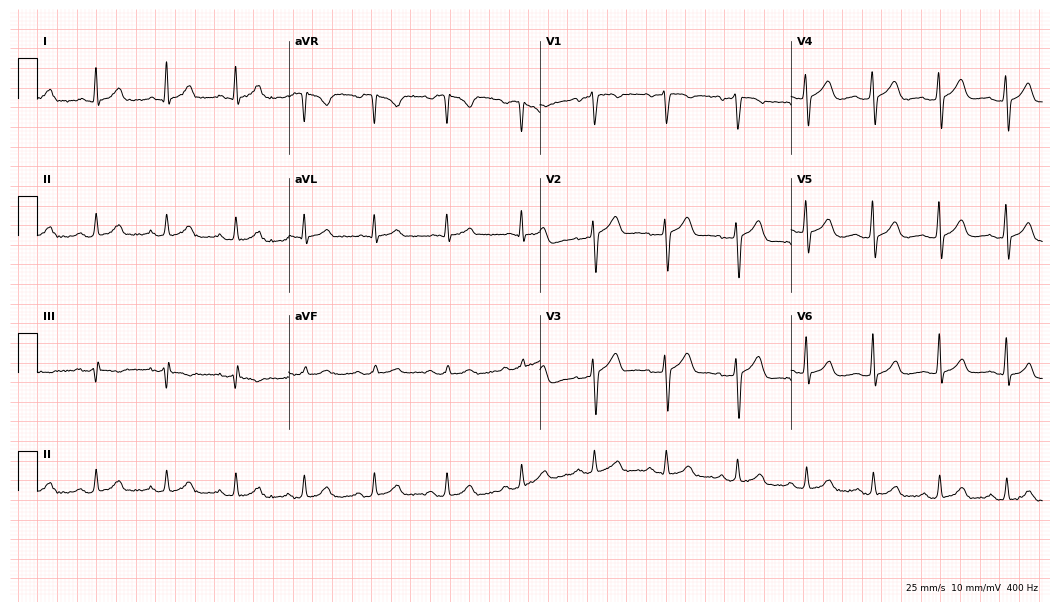
12-lead ECG (10.2-second recording at 400 Hz) from a 38-year-old man. Labelled as a normal ECG.